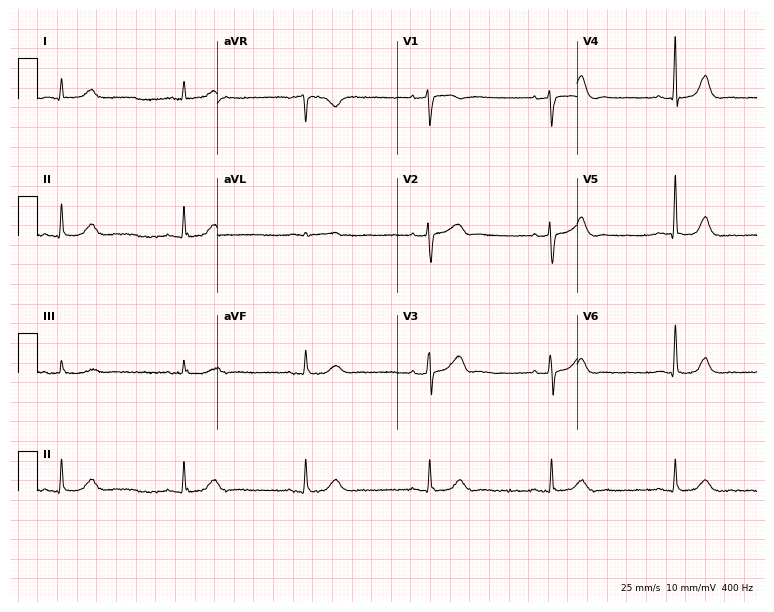
12-lead ECG (7.3-second recording at 400 Hz) from a male, 74 years old. Screened for six findings — first-degree AV block, right bundle branch block, left bundle branch block, sinus bradycardia, atrial fibrillation, sinus tachycardia — none is recorded.